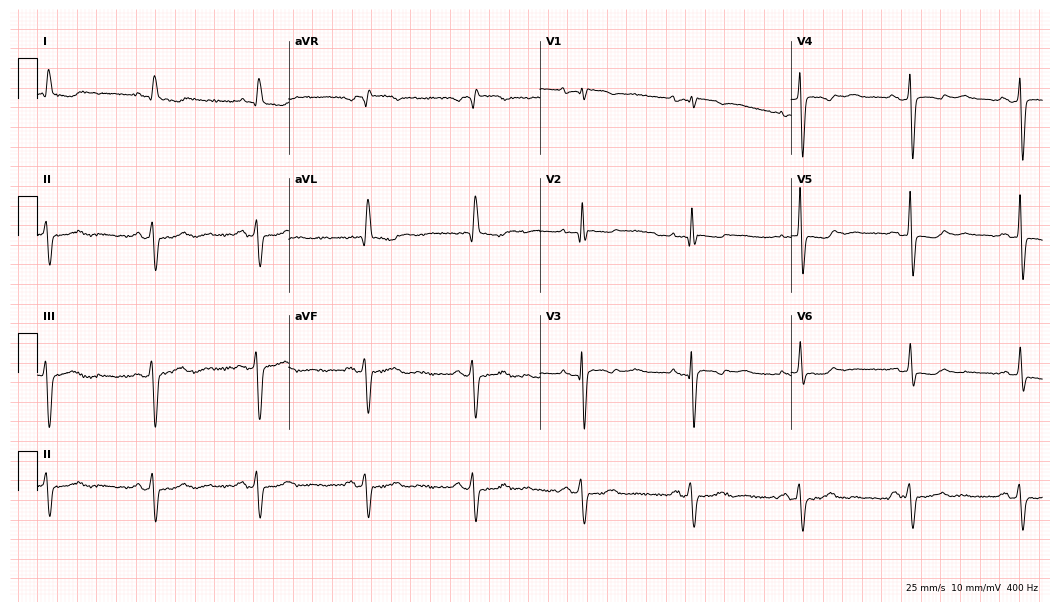
Standard 12-lead ECG recorded from a female patient, 76 years old. None of these six findings is recorded: first-degree AV block, right bundle branch block, left bundle branch block, sinus bradycardia, atrial fibrillation, sinus tachycardia.